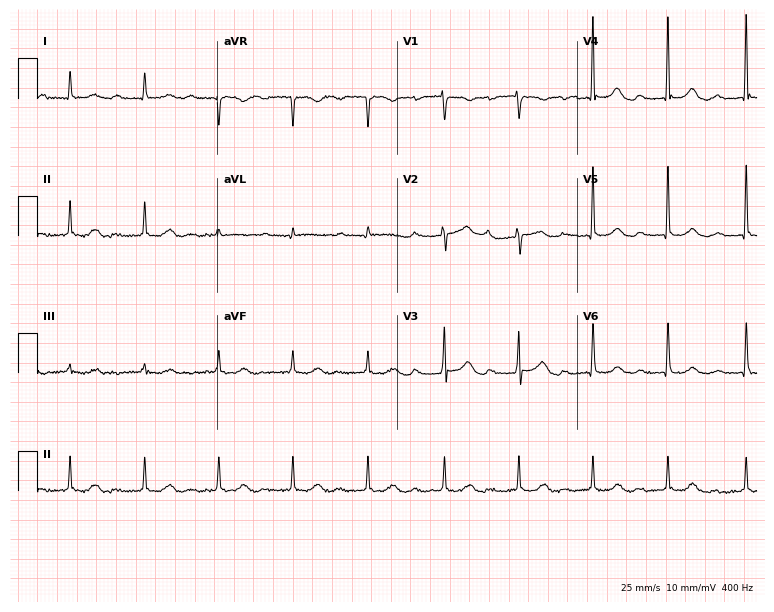
12-lead ECG from an 82-year-old female patient (7.3-second recording at 400 Hz). Shows first-degree AV block.